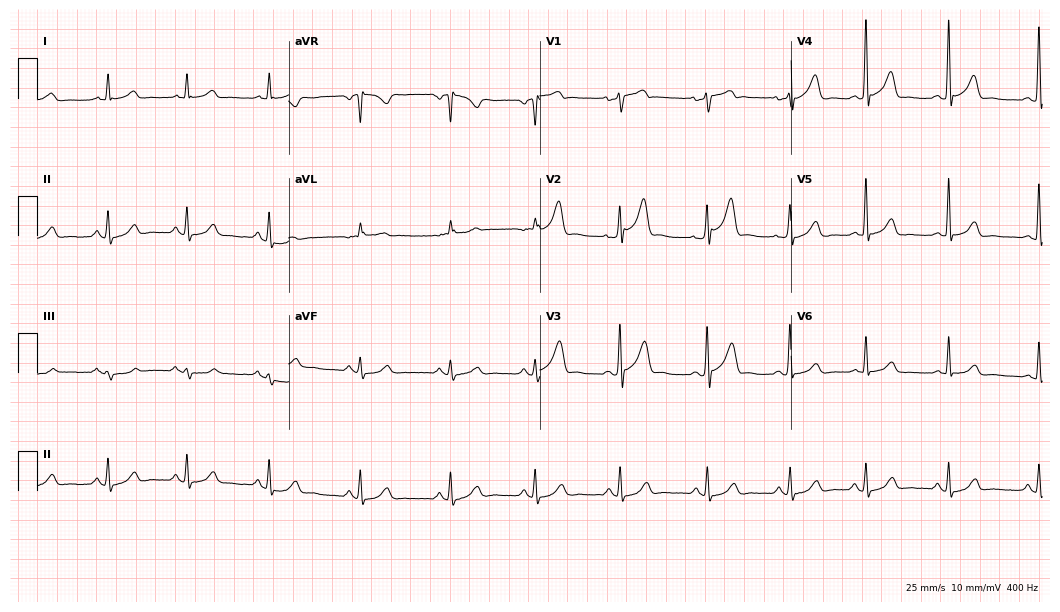
ECG — a male, 61 years old. Labelled as a normal ECG.